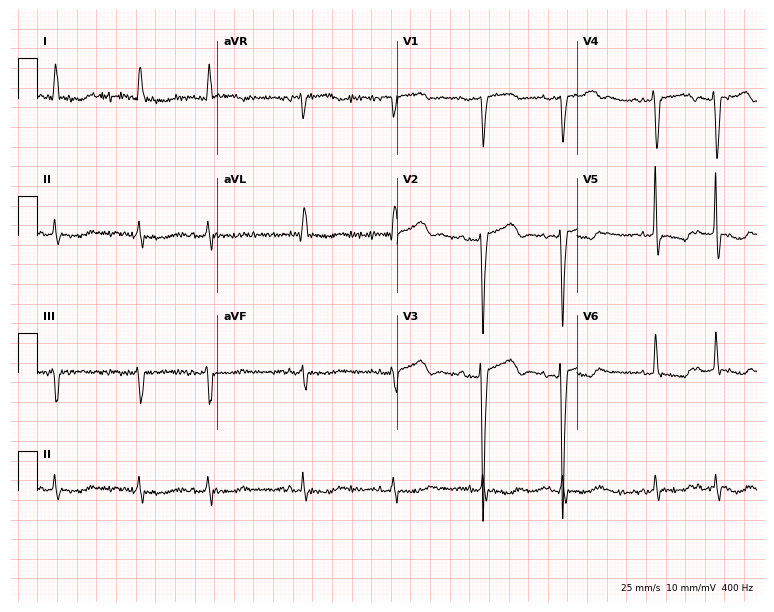
Standard 12-lead ECG recorded from an 84-year-old female patient (7.3-second recording at 400 Hz). None of these six findings is recorded: first-degree AV block, right bundle branch block (RBBB), left bundle branch block (LBBB), sinus bradycardia, atrial fibrillation (AF), sinus tachycardia. Other findings, if any, are not listed.